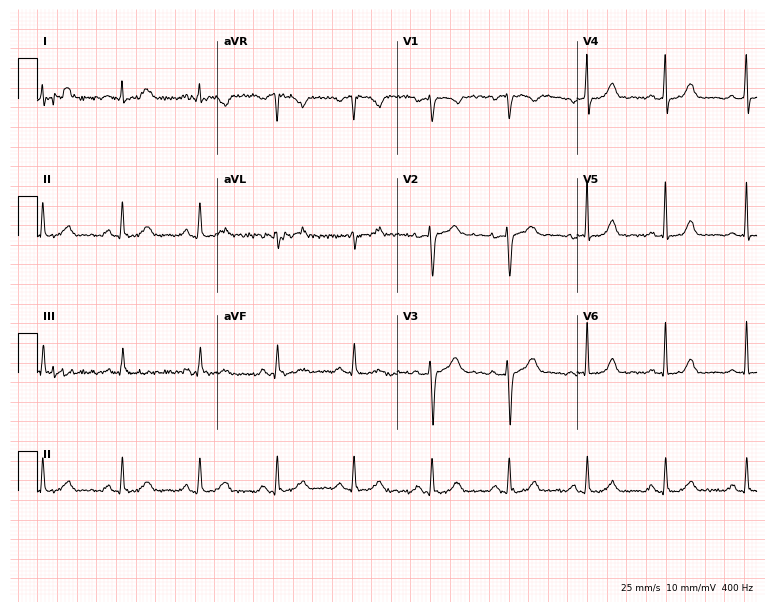
ECG — a 30-year-old woman. Labelled as a normal ECG.